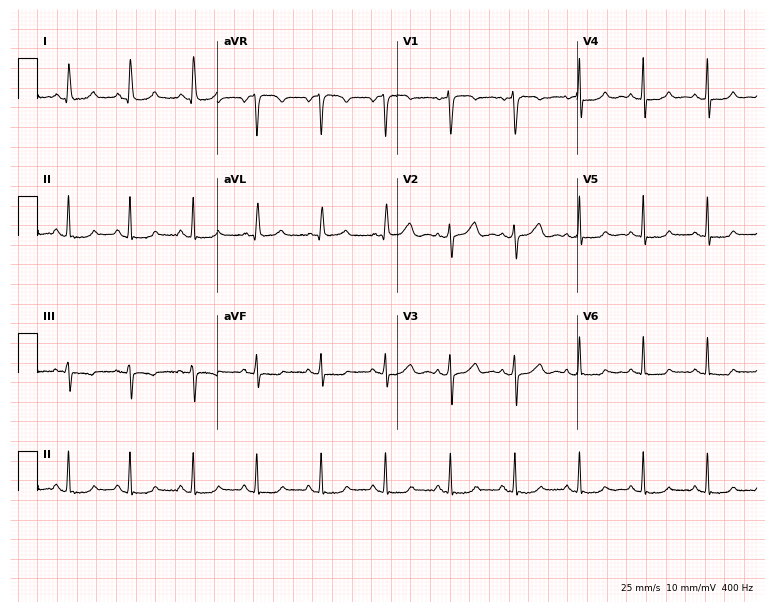
Resting 12-lead electrocardiogram (7.3-second recording at 400 Hz). Patient: a 46-year-old female. Read as a normal ECG.